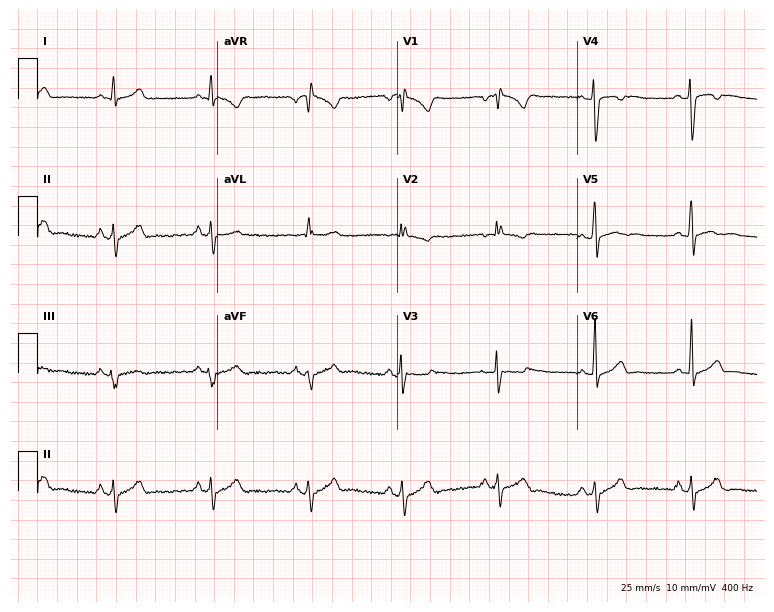
ECG (7.3-second recording at 400 Hz) — a 36-year-old male. Screened for six findings — first-degree AV block, right bundle branch block, left bundle branch block, sinus bradycardia, atrial fibrillation, sinus tachycardia — none is recorded. Only these six findings were labelled.